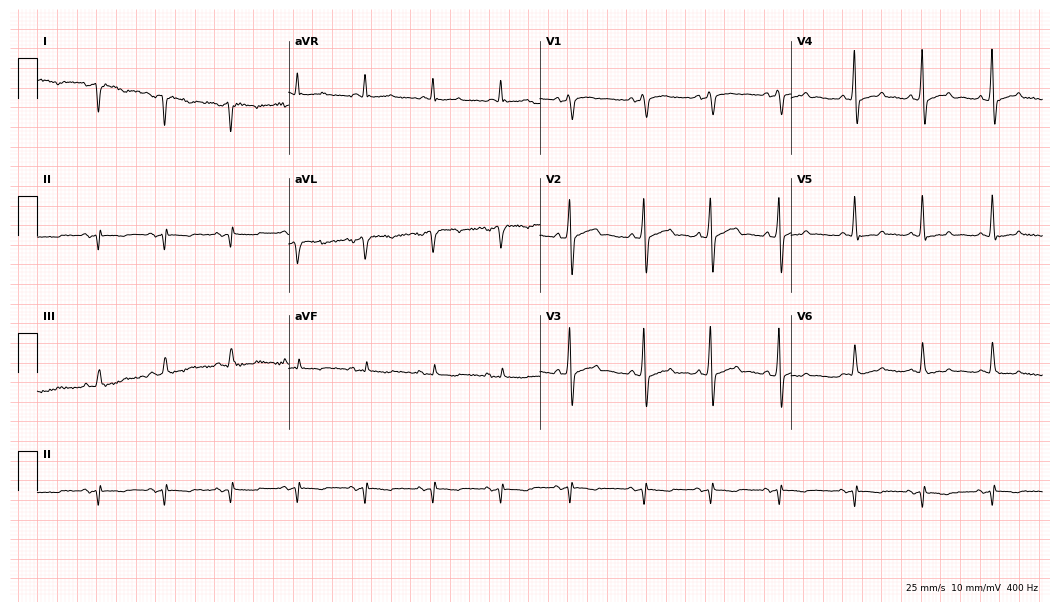
Resting 12-lead electrocardiogram. Patient: a man, 74 years old. None of these six findings is recorded: first-degree AV block, right bundle branch block, left bundle branch block, sinus bradycardia, atrial fibrillation, sinus tachycardia. Findings outside these six are not listed.